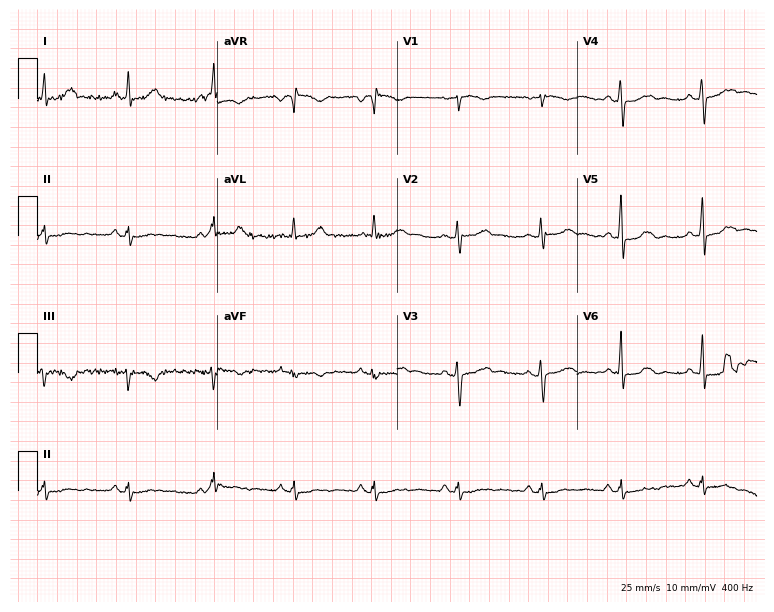
Resting 12-lead electrocardiogram. Patient: a 41-year-old female. Read as a normal ECG.